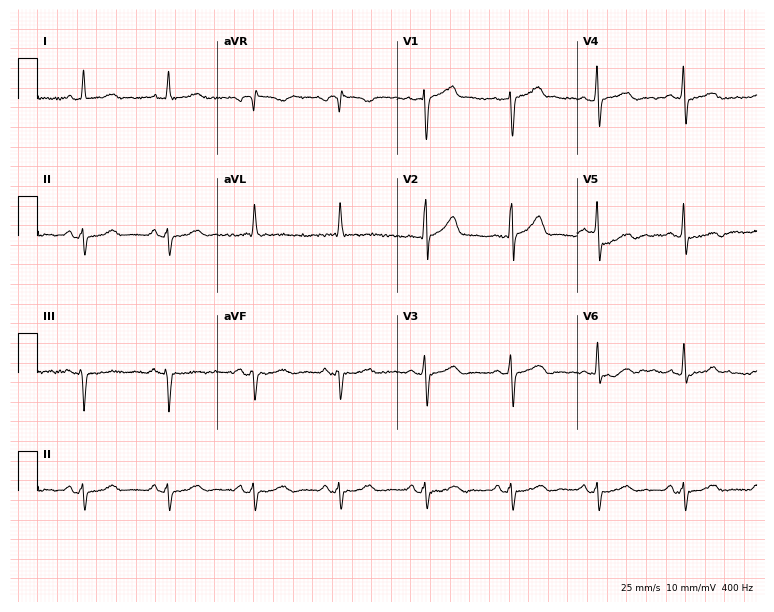
12-lead ECG from a 65-year-old male. Screened for six findings — first-degree AV block, right bundle branch block (RBBB), left bundle branch block (LBBB), sinus bradycardia, atrial fibrillation (AF), sinus tachycardia — none is recorded. Other findings, if any, are not listed.